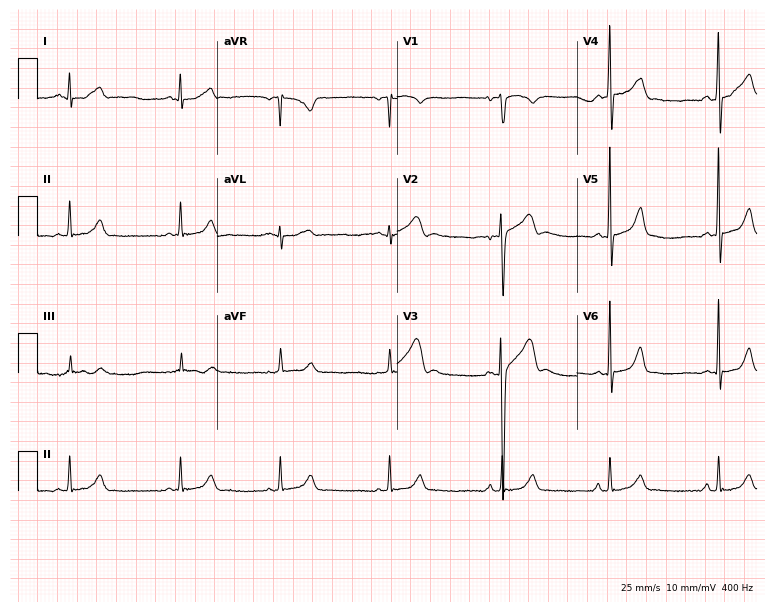
ECG — a 17-year-old male patient. Labelled as a normal ECG.